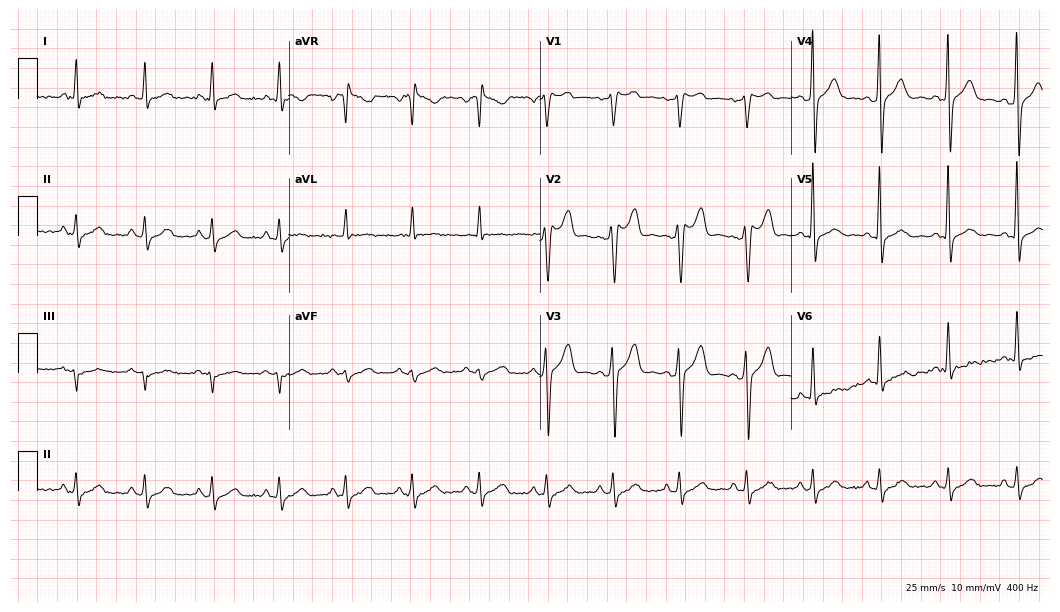
12-lead ECG from a male patient, 41 years old. No first-degree AV block, right bundle branch block, left bundle branch block, sinus bradycardia, atrial fibrillation or sinus tachycardia recorded for this tracing.